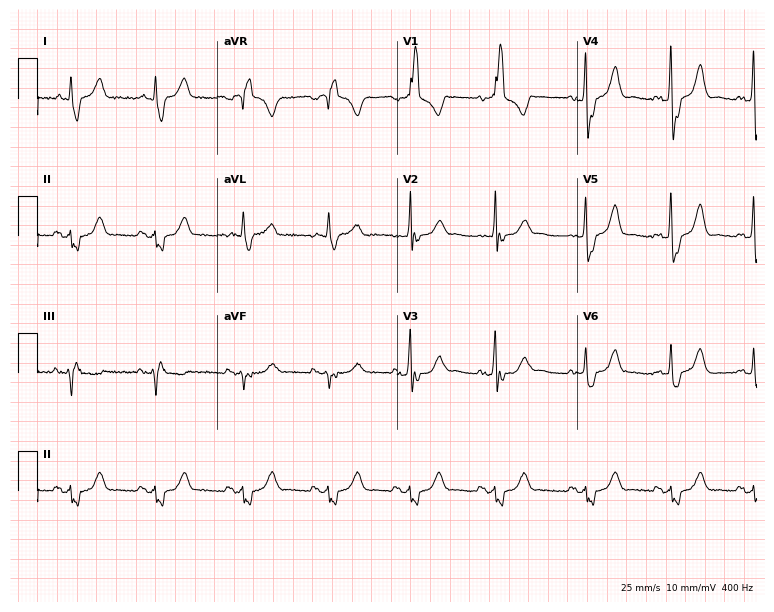
Resting 12-lead electrocardiogram. Patient: a 75-year-old woman. The tracing shows right bundle branch block (RBBB).